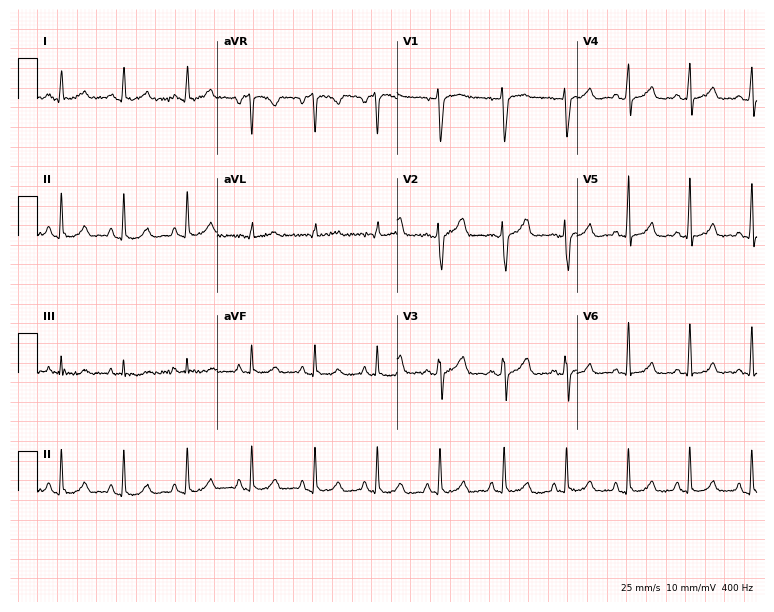
Electrocardiogram, a female patient, 19 years old. Overall reading on record: normal ECG.